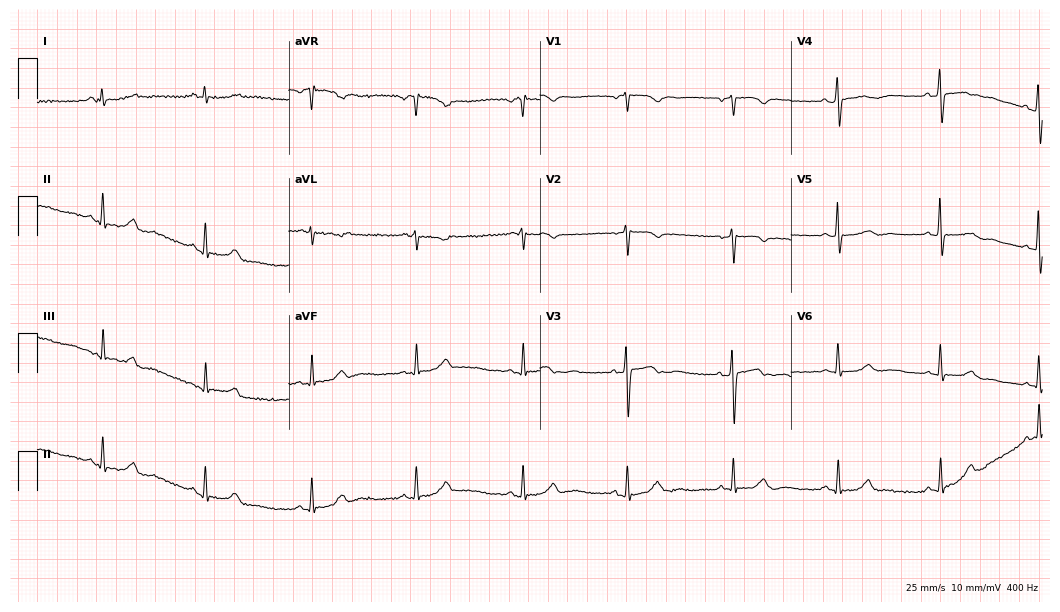
Electrocardiogram (10.2-second recording at 400 Hz), a 70-year-old female patient. Overall reading on record: normal ECG.